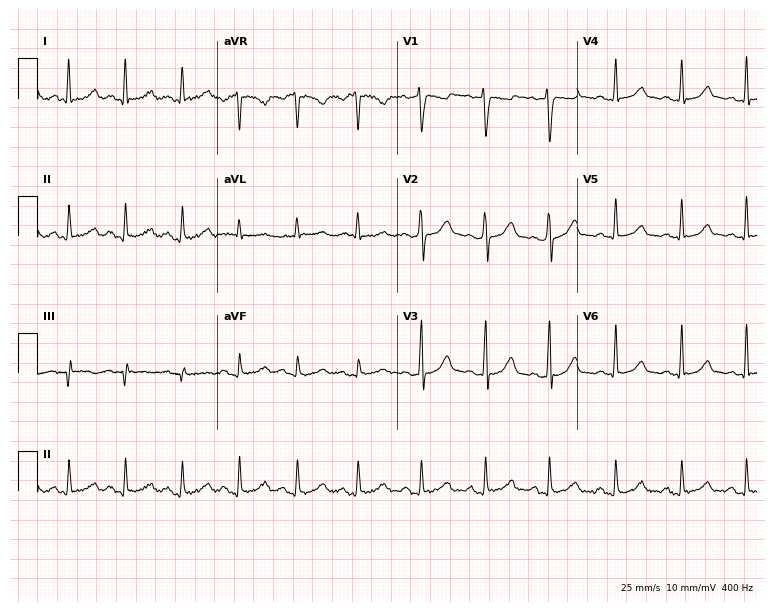
12-lead ECG from a 23-year-old woman (7.3-second recording at 400 Hz). Recorded interpretation: within normal limits.